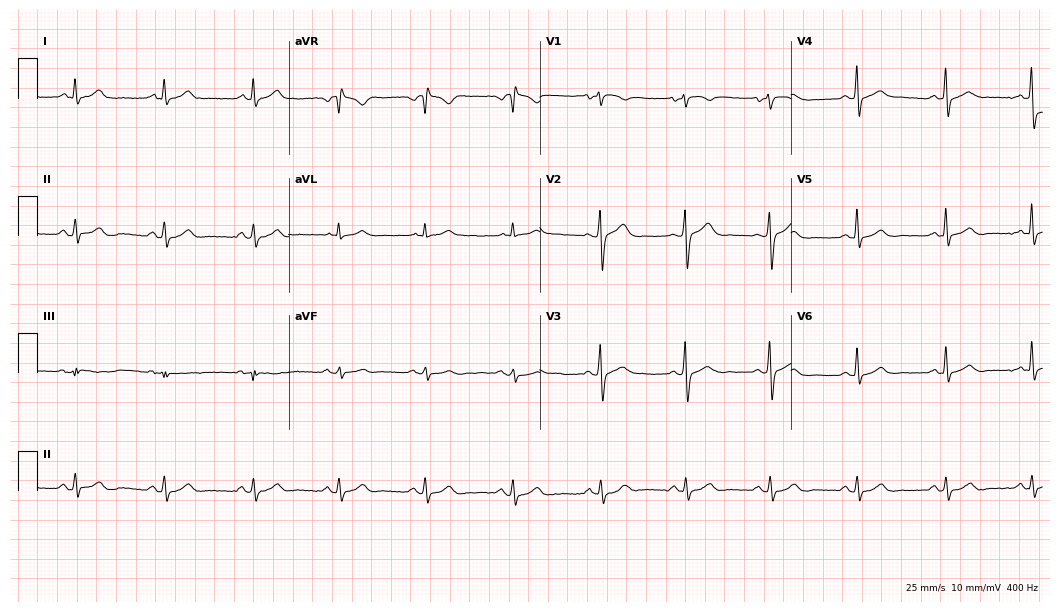
12-lead ECG from a female patient, 46 years old. Recorded interpretation: within normal limits.